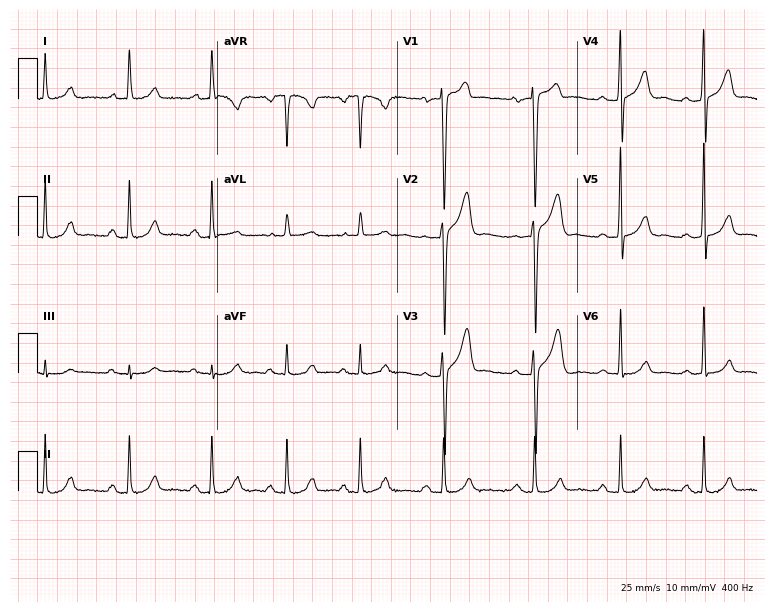
Resting 12-lead electrocardiogram. Patient: a 45-year-old male. None of these six findings is recorded: first-degree AV block, right bundle branch block, left bundle branch block, sinus bradycardia, atrial fibrillation, sinus tachycardia.